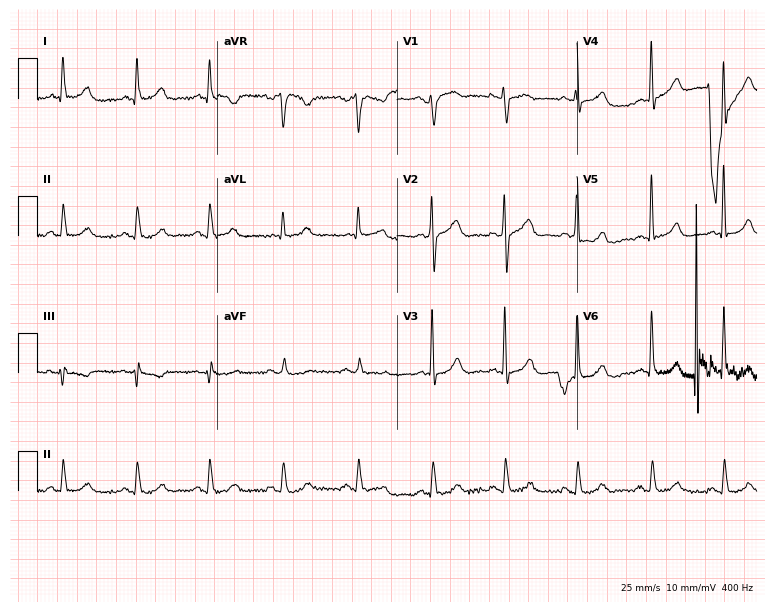
Electrocardiogram (7.3-second recording at 400 Hz), a 71-year-old male patient. Overall reading on record: normal ECG.